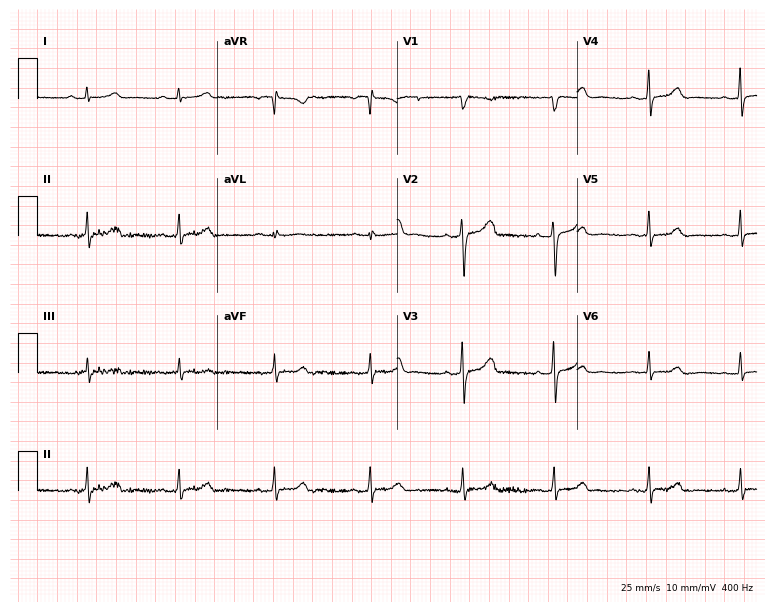
12-lead ECG from a female patient, 32 years old. Recorded interpretation: within normal limits.